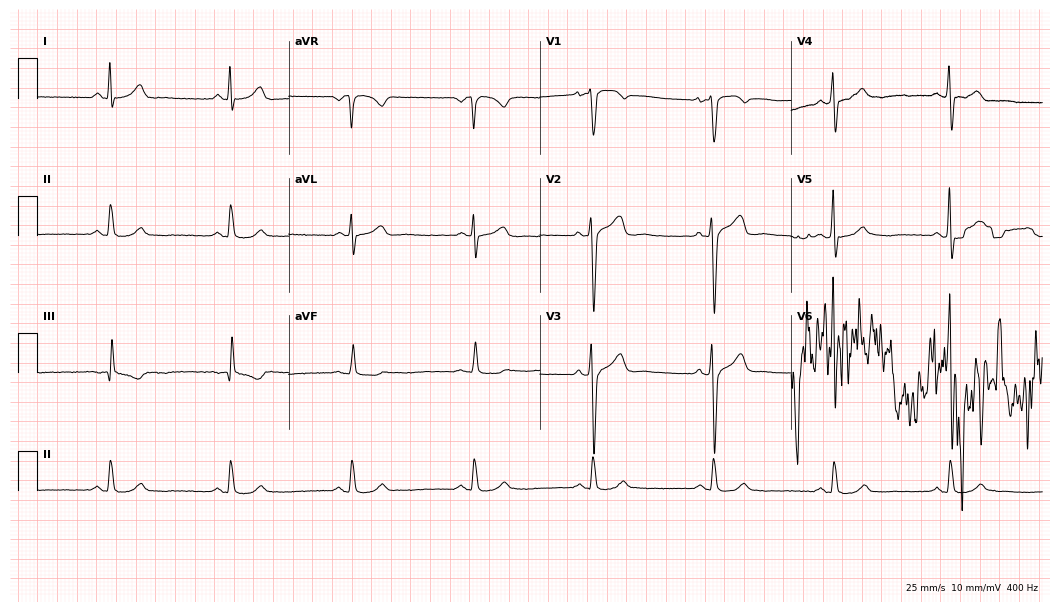
Electrocardiogram (10.2-second recording at 400 Hz), a male, 36 years old. Of the six screened findings (first-degree AV block, right bundle branch block, left bundle branch block, sinus bradycardia, atrial fibrillation, sinus tachycardia), none is recorded.